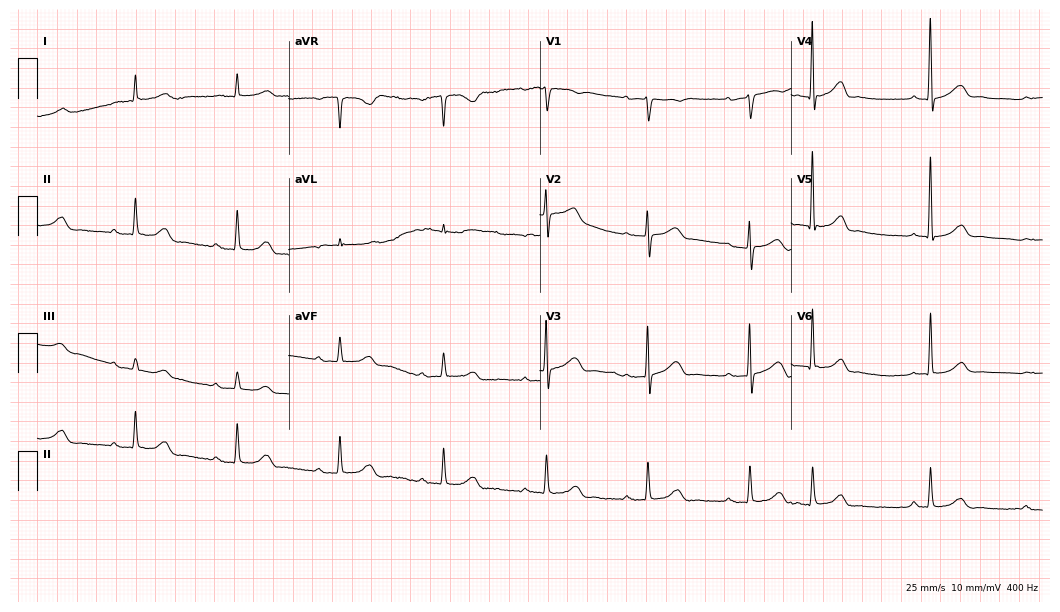
Standard 12-lead ECG recorded from a male, 76 years old (10.2-second recording at 400 Hz). The tracing shows first-degree AV block.